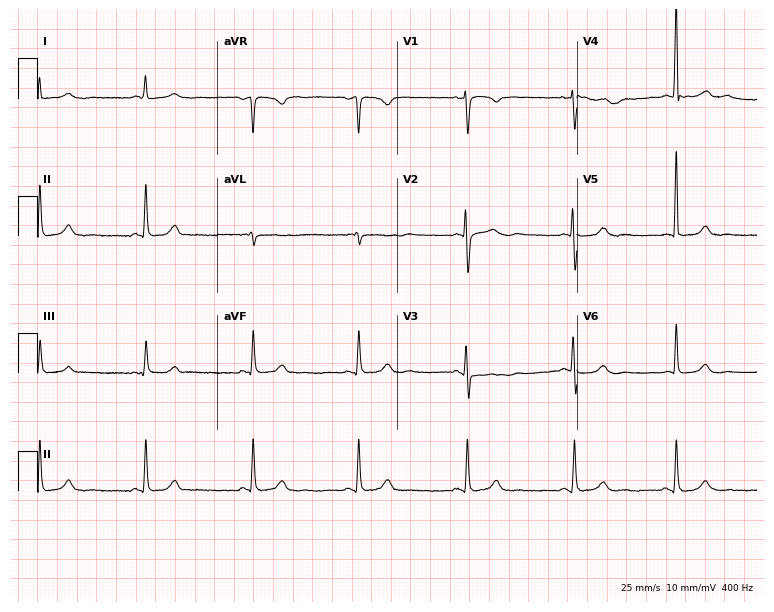
Standard 12-lead ECG recorded from a female, 33 years old (7.3-second recording at 400 Hz). Read as a normal ECG.